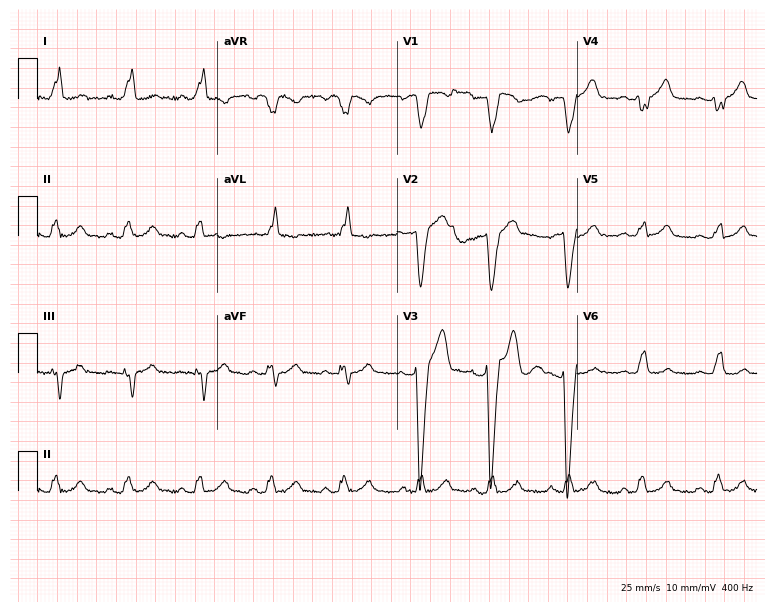
Electrocardiogram, a 23-year-old female. Interpretation includes left bundle branch block (LBBB).